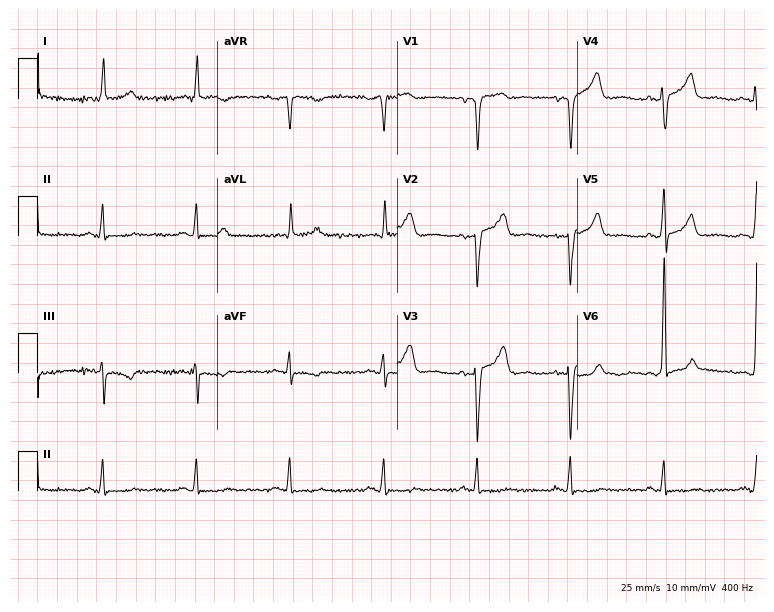
Resting 12-lead electrocardiogram (7.3-second recording at 400 Hz). Patient: an 80-year-old male. None of these six findings is recorded: first-degree AV block, right bundle branch block (RBBB), left bundle branch block (LBBB), sinus bradycardia, atrial fibrillation (AF), sinus tachycardia. Findings outside these six are not listed.